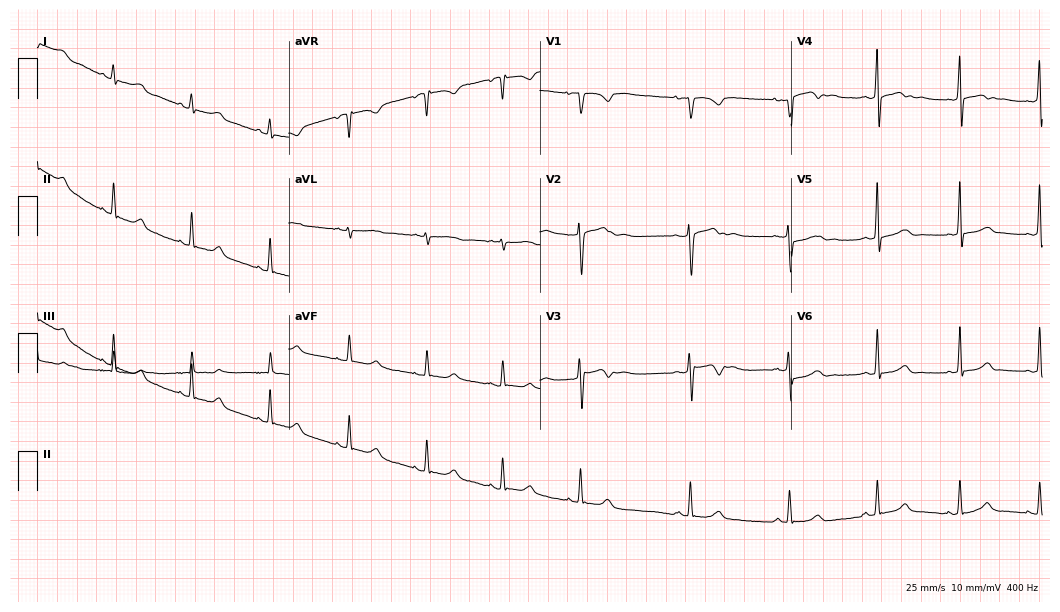
Resting 12-lead electrocardiogram. Patient: a woman, 24 years old. Read as a normal ECG.